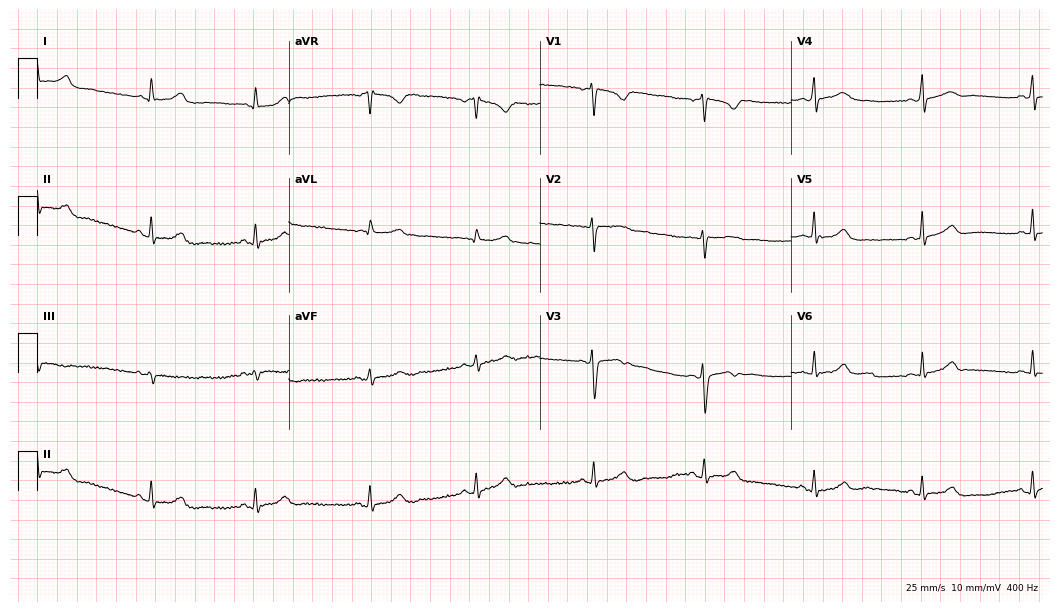
12-lead ECG from a 21-year-old female. Screened for six findings — first-degree AV block, right bundle branch block (RBBB), left bundle branch block (LBBB), sinus bradycardia, atrial fibrillation (AF), sinus tachycardia — none is recorded.